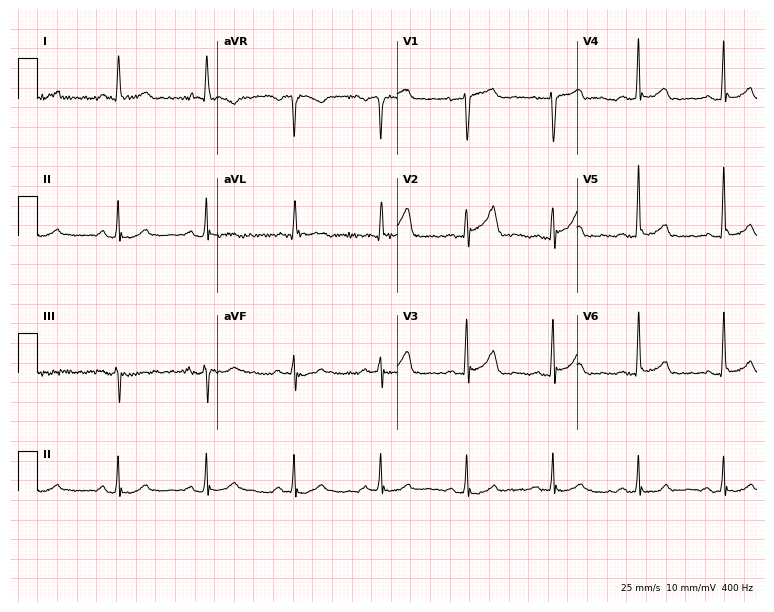
12-lead ECG from a male patient, 66 years old (7.3-second recording at 400 Hz). No first-degree AV block, right bundle branch block (RBBB), left bundle branch block (LBBB), sinus bradycardia, atrial fibrillation (AF) or sinus tachycardia recorded for this tracing.